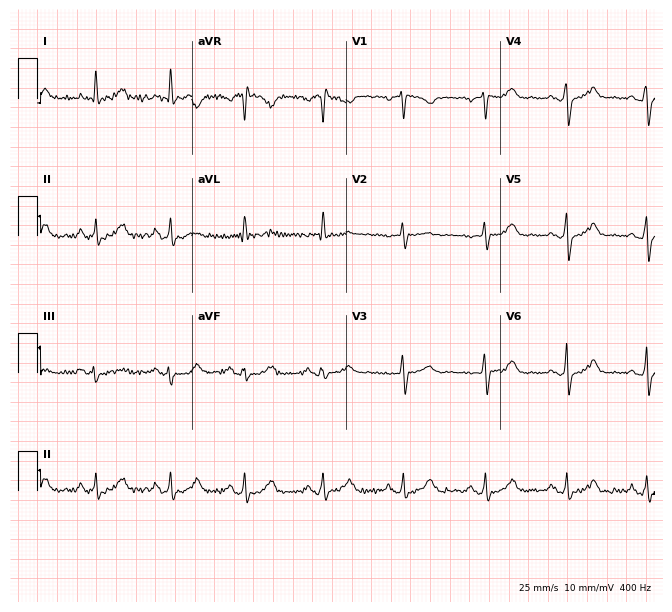
12-lead ECG from a female, 46 years old. No first-degree AV block, right bundle branch block (RBBB), left bundle branch block (LBBB), sinus bradycardia, atrial fibrillation (AF) or sinus tachycardia recorded for this tracing. Only these six findings were labelled.